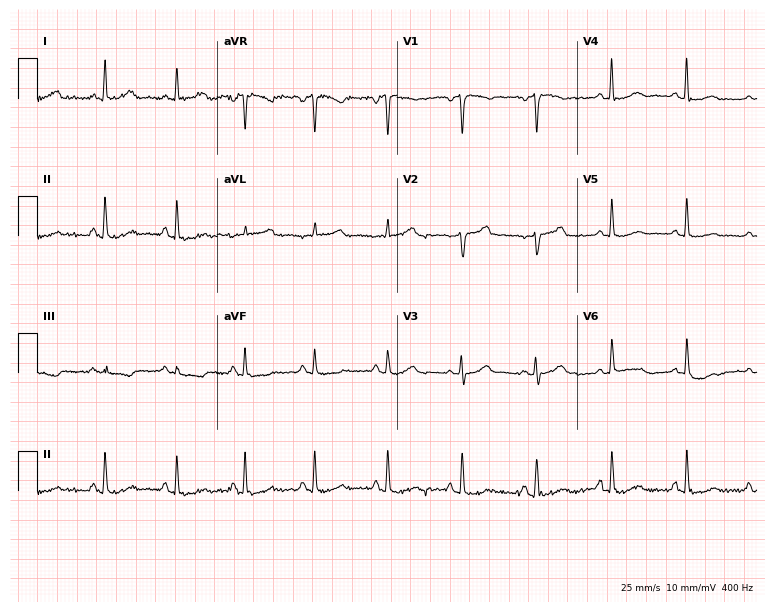
Standard 12-lead ECG recorded from a 49-year-old female patient (7.3-second recording at 400 Hz). None of these six findings is recorded: first-degree AV block, right bundle branch block, left bundle branch block, sinus bradycardia, atrial fibrillation, sinus tachycardia. Findings outside these six are not listed.